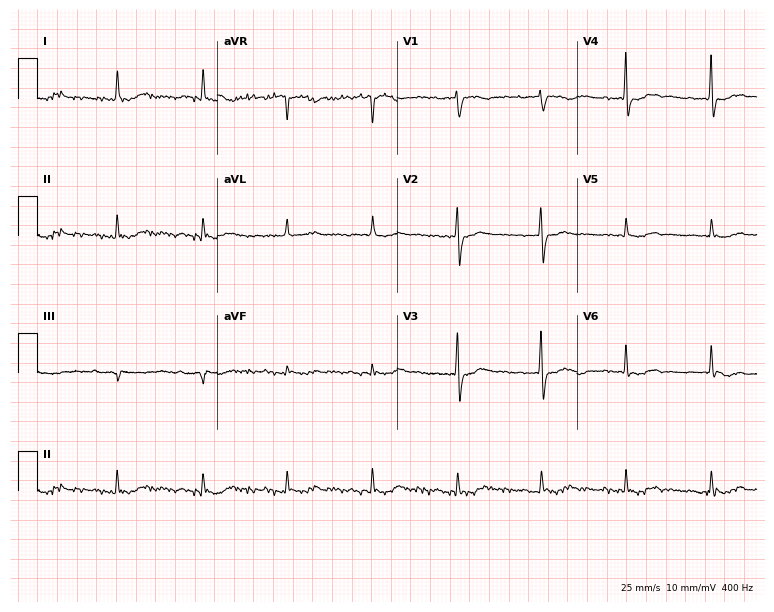
Resting 12-lead electrocardiogram (7.3-second recording at 400 Hz). Patient: a female, 77 years old. None of these six findings is recorded: first-degree AV block, right bundle branch block, left bundle branch block, sinus bradycardia, atrial fibrillation, sinus tachycardia.